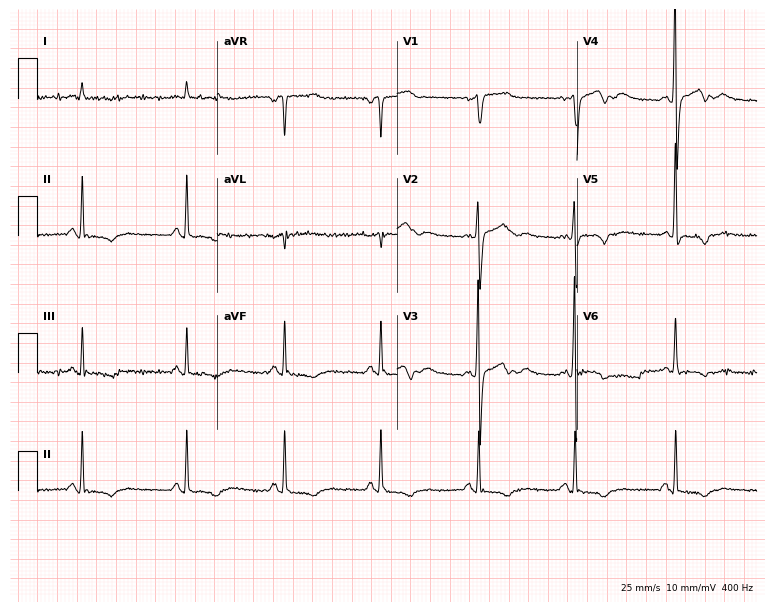
Standard 12-lead ECG recorded from a 27-year-old male. None of these six findings is recorded: first-degree AV block, right bundle branch block (RBBB), left bundle branch block (LBBB), sinus bradycardia, atrial fibrillation (AF), sinus tachycardia.